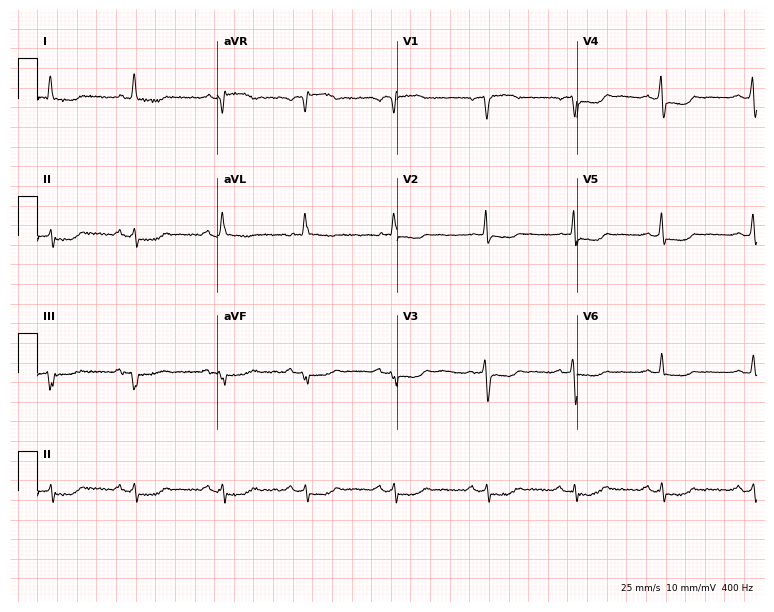
Resting 12-lead electrocardiogram (7.3-second recording at 400 Hz). Patient: a female, 67 years old. None of these six findings is recorded: first-degree AV block, right bundle branch block, left bundle branch block, sinus bradycardia, atrial fibrillation, sinus tachycardia.